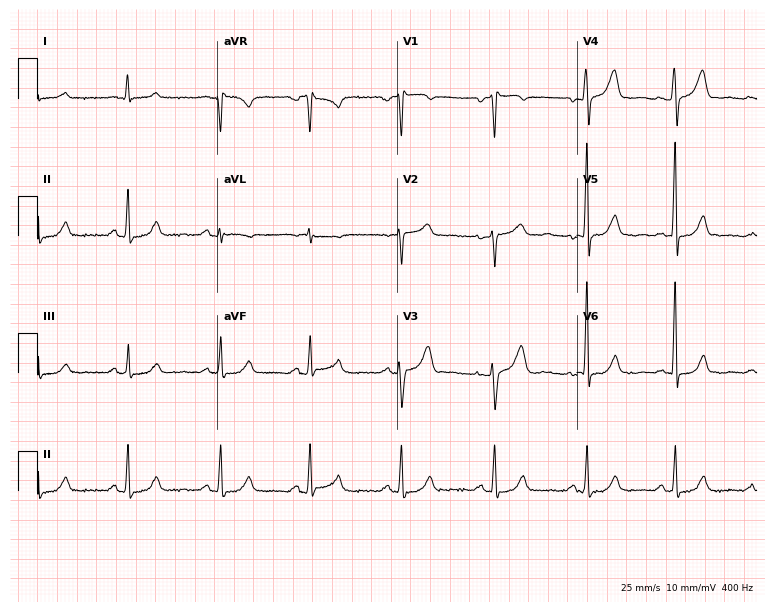
12-lead ECG (7.3-second recording at 400 Hz) from a female, 43 years old. Screened for six findings — first-degree AV block, right bundle branch block (RBBB), left bundle branch block (LBBB), sinus bradycardia, atrial fibrillation (AF), sinus tachycardia — none is recorded.